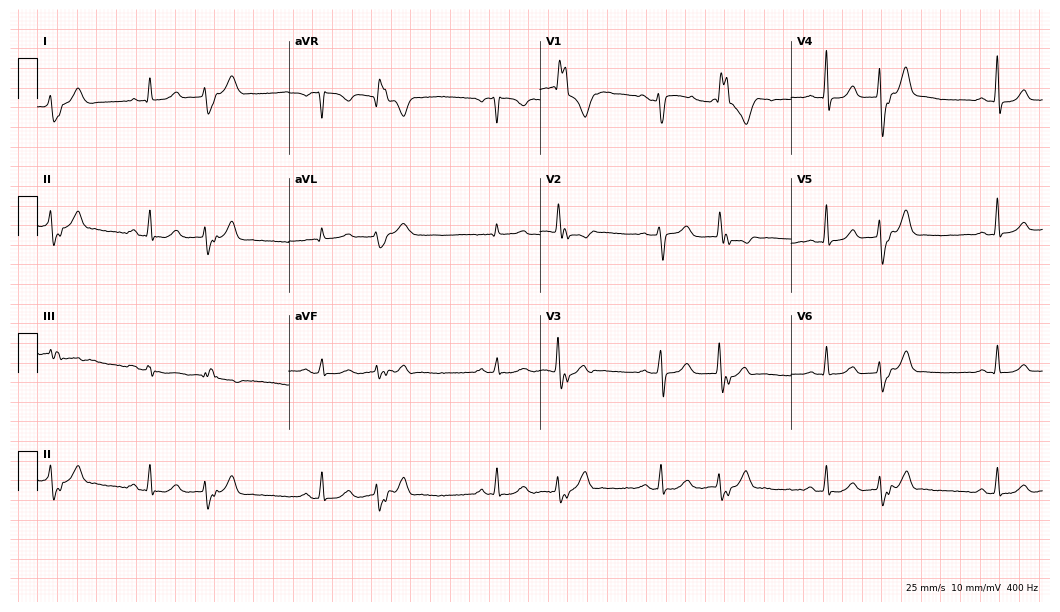
12-lead ECG from a 68-year-old female patient (10.2-second recording at 400 Hz). No first-degree AV block, right bundle branch block (RBBB), left bundle branch block (LBBB), sinus bradycardia, atrial fibrillation (AF) or sinus tachycardia recorded for this tracing. Only these six findings were labelled.